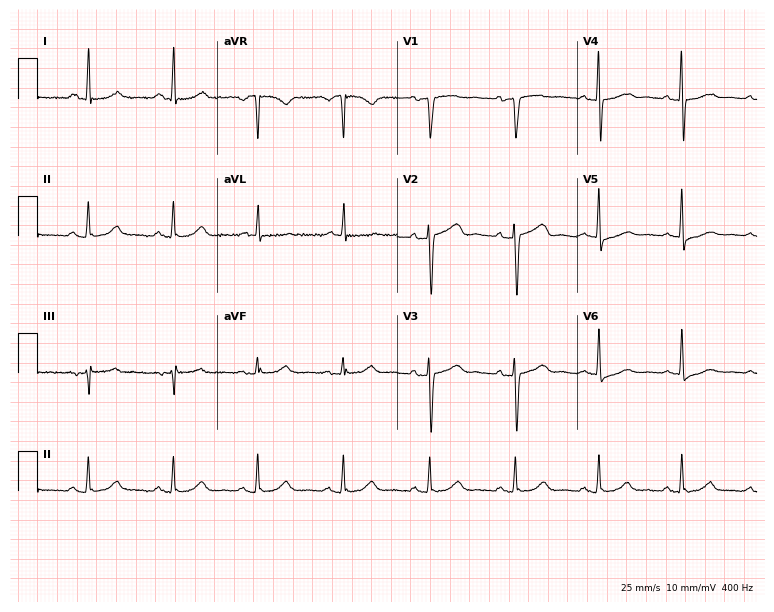
Standard 12-lead ECG recorded from a woman, 65 years old (7.3-second recording at 400 Hz). Read as a normal ECG.